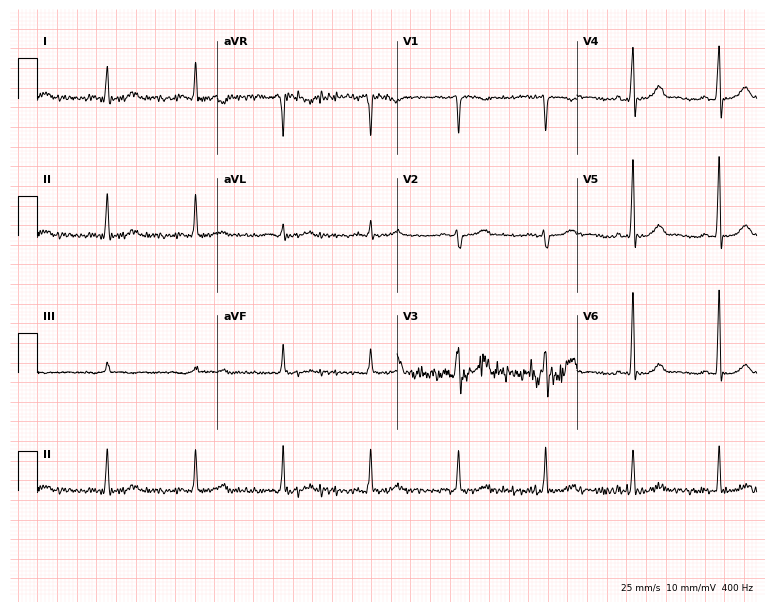
12-lead ECG from a 53-year-old male patient (7.3-second recording at 400 Hz). No first-degree AV block, right bundle branch block, left bundle branch block, sinus bradycardia, atrial fibrillation or sinus tachycardia recorded for this tracing. Findings outside these six are not listed.